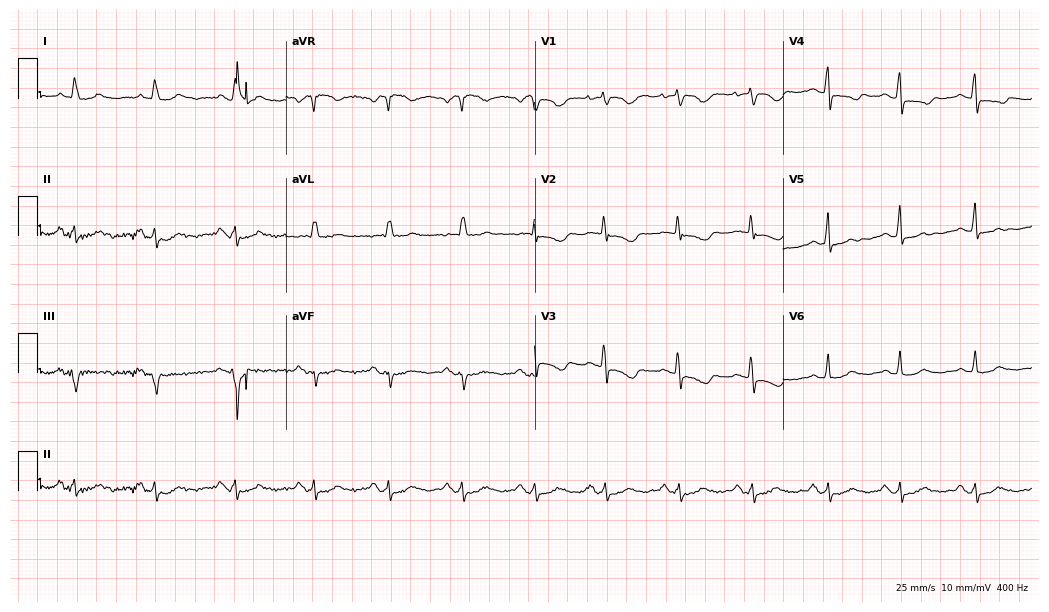
ECG (10.1-second recording at 400 Hz) — a female patient, 74 years old. Screened for six findings — first-degree AV block, right bundle branch block, left bundle branch block, sinus bradycardia, atrial fibrillation, sinus tachycardia — none is recorded.